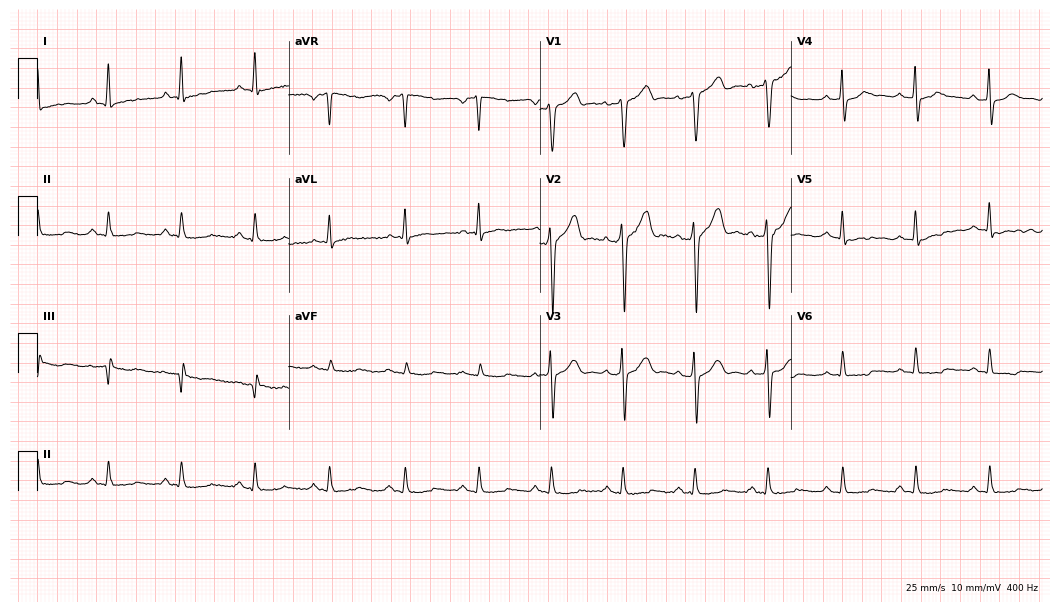
12-lead ECG from a 46-year-old man. Screened for six findings — first-degree AV block, right bundle branch block, left bundle branch block, sinus bradycardia, atrial fibrillation, sinus tachycardia — none is recorded.